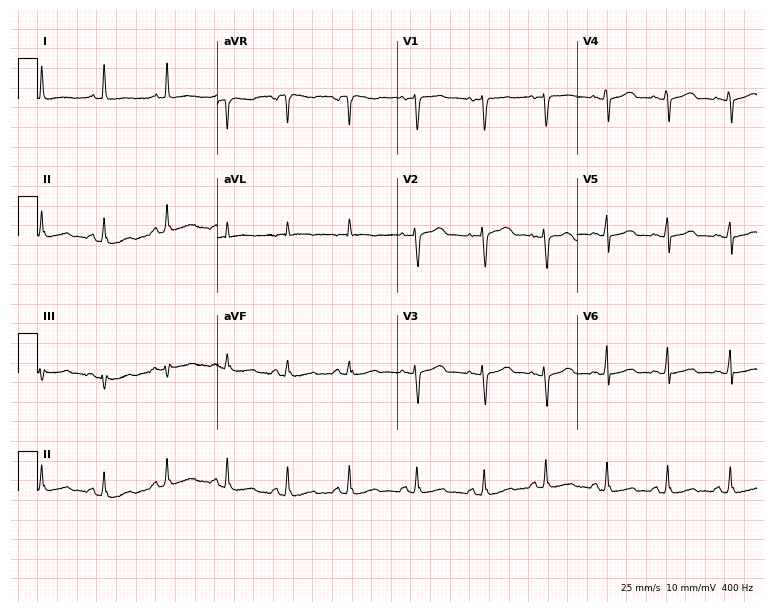
Resting 12-lead electrocardiogram (7.3-second recording at 400 Hz). Patient: a female, 28 years old. None of these six findings is recorded: first-degree AV block, right bundle branch block (RBBB), left bundle branch block (LBBB), sinus bradycardia, atrial fibrillation (AF), sinus tachycardia. Findings outside these six are not listed.